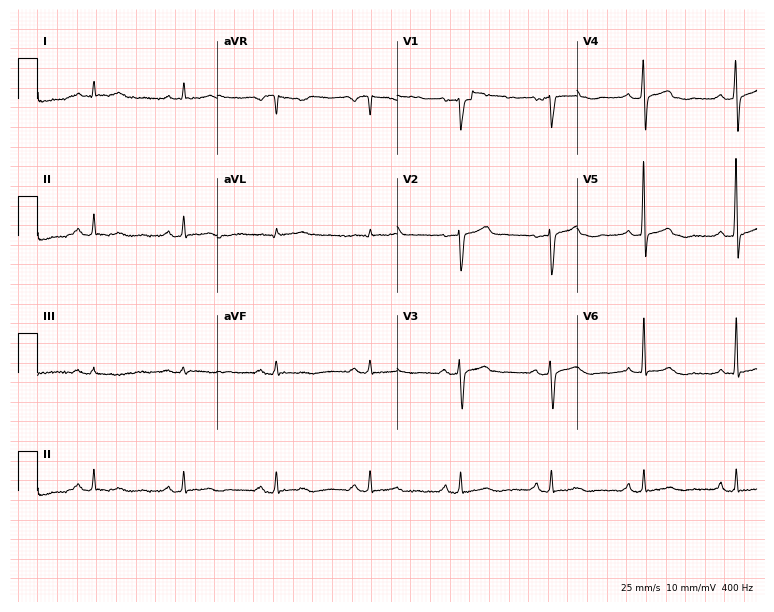
ECG (7.3-second recording at 400 Hz) — a woman, 65 years old. Labelled as a normal ECG.